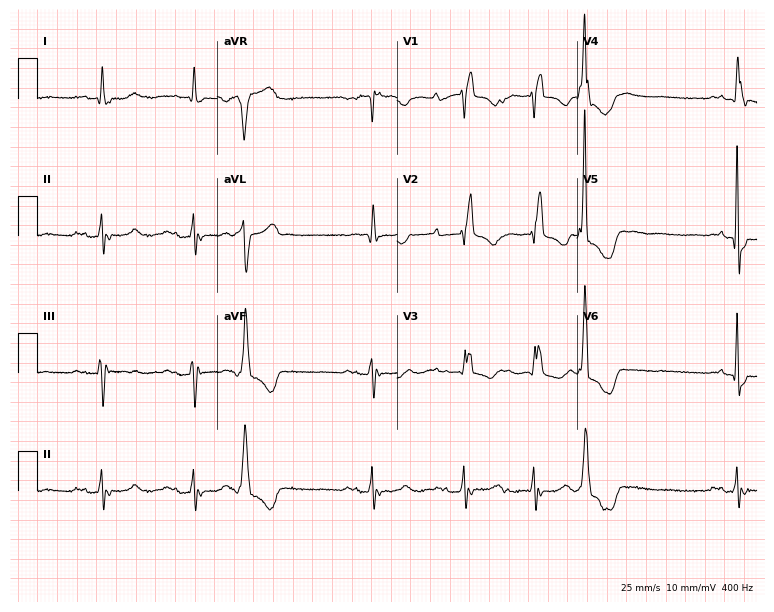
ECG — an 84-year-old female. Findings include right bundle branch block.